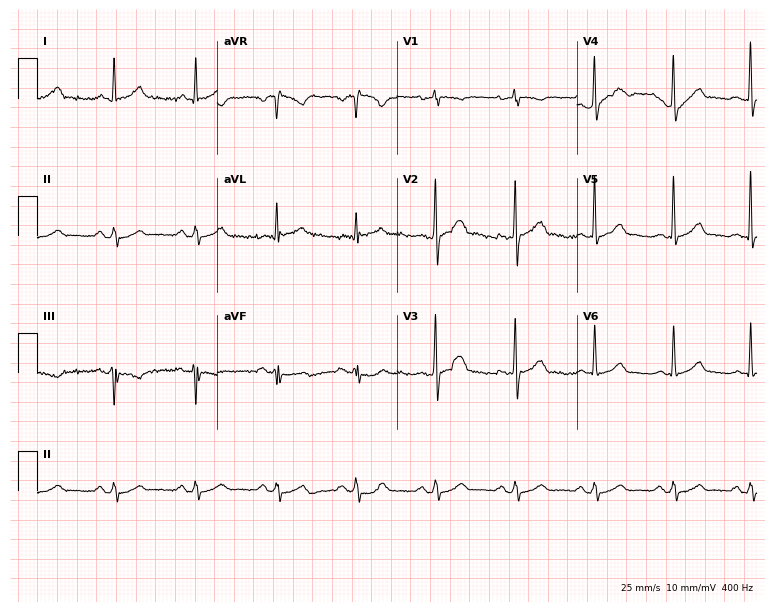
12-lead ECG from a male patient, 42 years old. Labelled as a normal ECG.